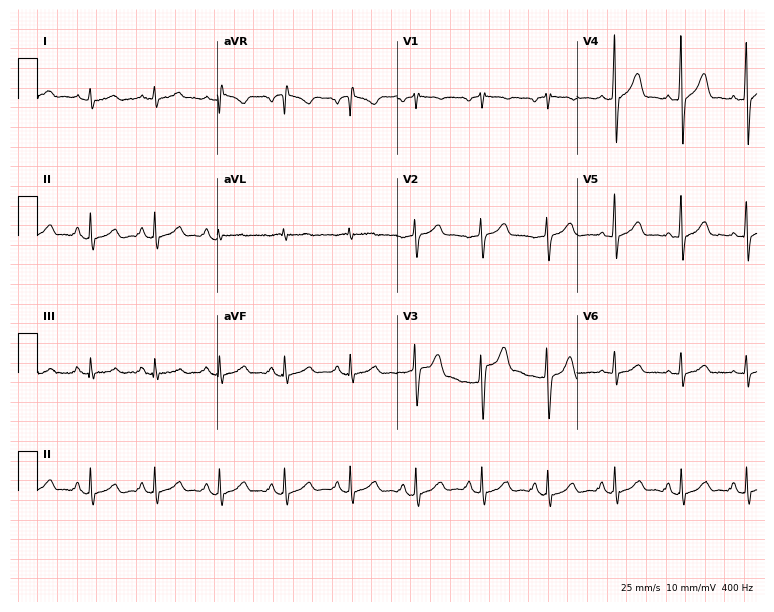
Standard 12-lead ECG recorded from a male, 56 years old (7.3-second recording at 400 Hz). Read as a normal ECG.